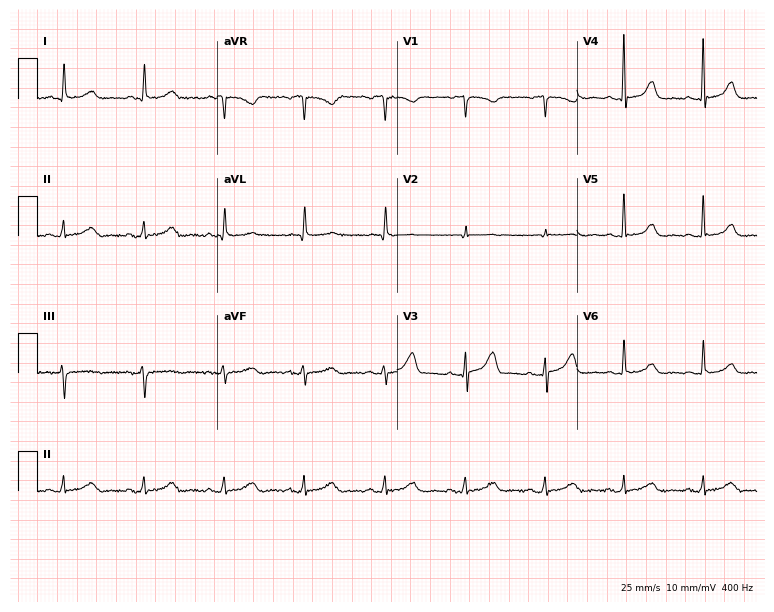
Electrocardiogram, a 78-year-old female patient. Of the six screened findings (first-degree AV block, right bundle branch block, left bundle branch block, sinus bradycardia, atrial fibrillation, sinus tachycardia), none is recorded.